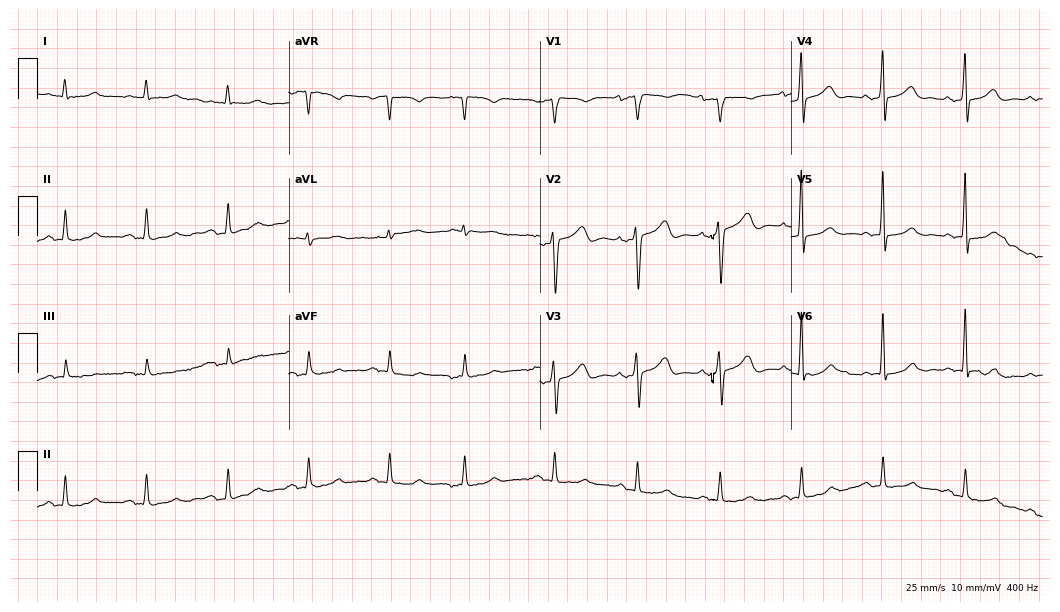
Resting 12-lead electrocardiogram (10.2-second recording at 400 Hz). Patient: a male, 85 years old. None of these six findings is recorded: first-degree AV block, right bundle branch block, left bundle branch block, sinus bradycardia, atrial fibrillation, sinus tachycardia.